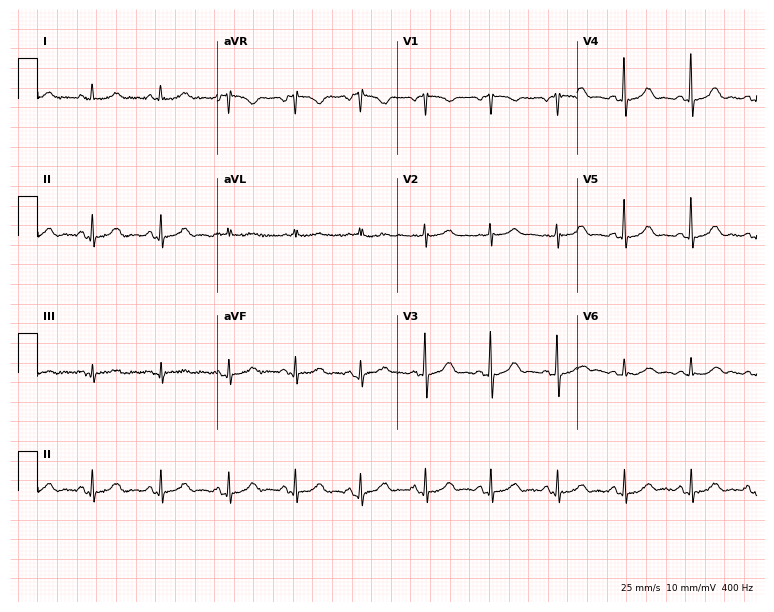
Resting 12-lead electrocardiogram. Patient: a female, 63 years old. Read as a normal ECG.